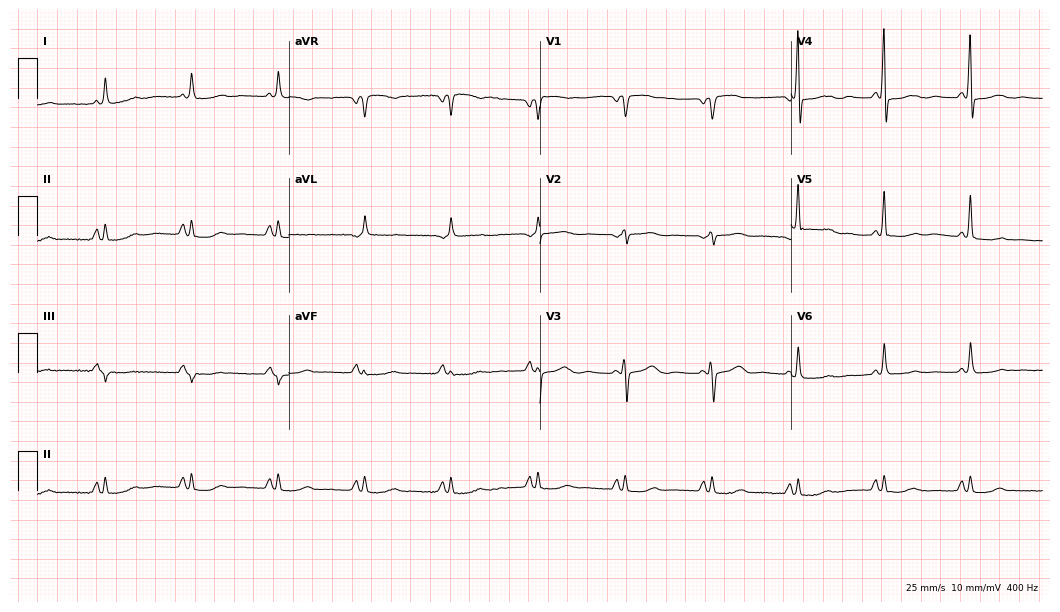
12-lead ECG (10.2-second recording at 400 Hz) from a female, 72 years old. Screened for six findings — first-degree AV block, right bundle branch block, left bundle branch block, sinus bradycardia, atrial fibrillation, sinus tachycardia — none is recorded.